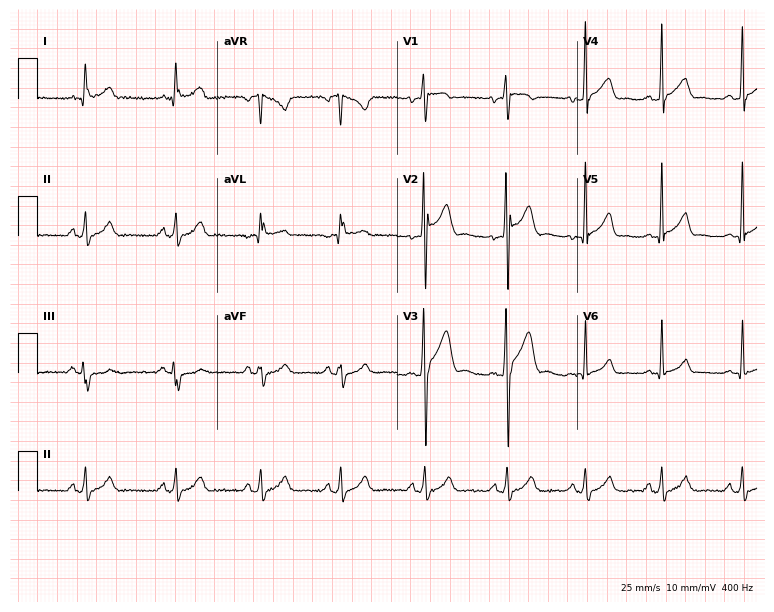
Resting 12-lead electrocardiogram. Patient: a 21-year-old female. Read as a normal ECG.